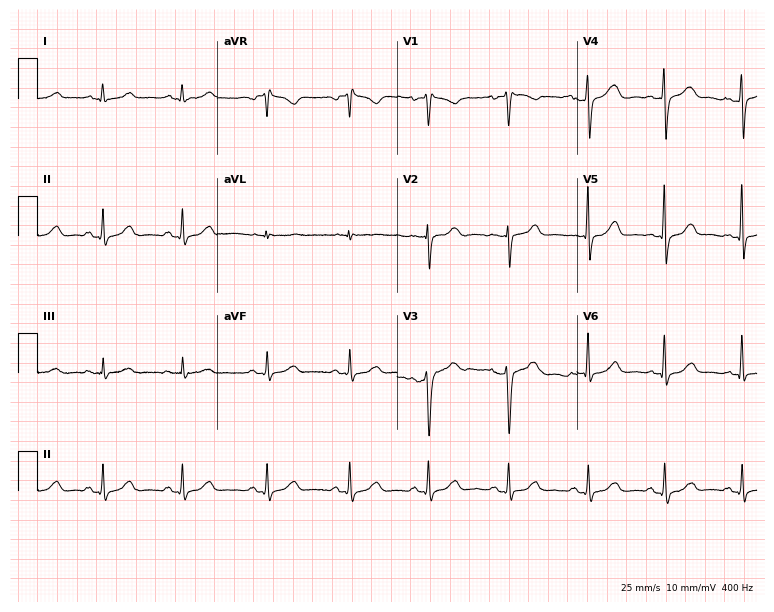
Electrocardiogram, a woman, 48 years old. Of the six screened findings (first-degree AV block, right bundle branch block (RBBB), left bundle branch block (LBBB), sinus bradycardia, atrial fibrillation (AF), sinus tachycardia), none is recorded. Other findings, if any, are not listed.